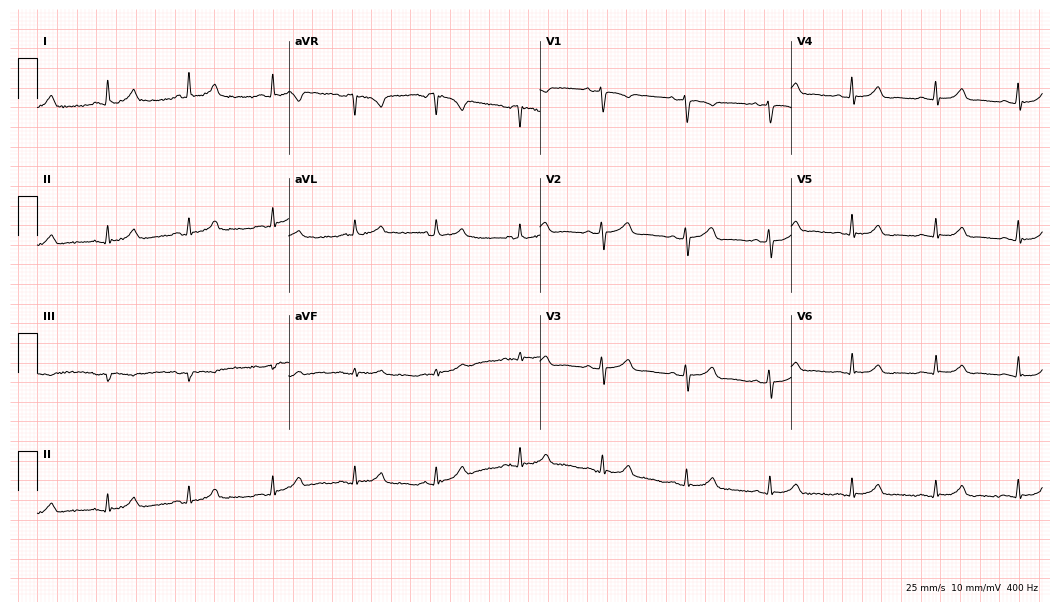
ECG — a 69-year-old female patient. Labelled as a normal ECG.